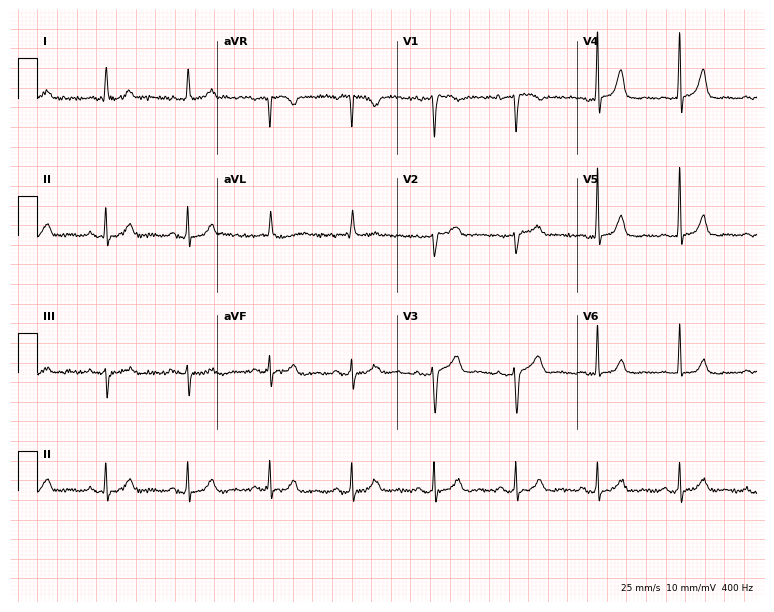
12-lead ECG from an 81-year-old female patient (7.3-second recording at 400 Hz). Recorded interpretation: within normal limits.